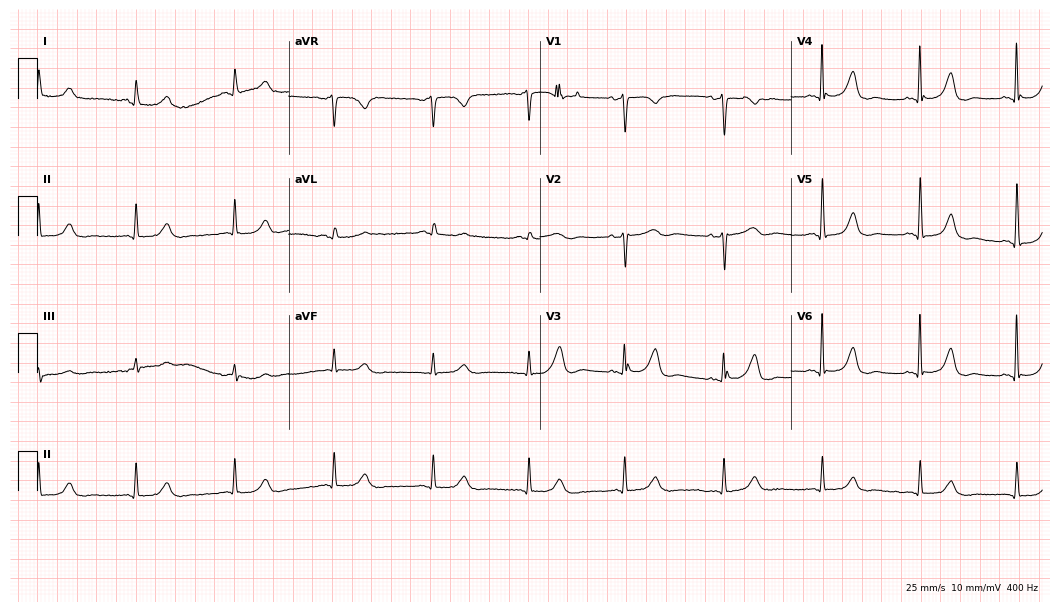
12-lead ECG from a female, 85 years old. Screened for six findings — first-degree AV block, right bundle branch block (RBBB), left bundle branch block (LBBB), sinus bradycardia, atrial fibrillation (AF), sinus tachycardia — none is recorded.